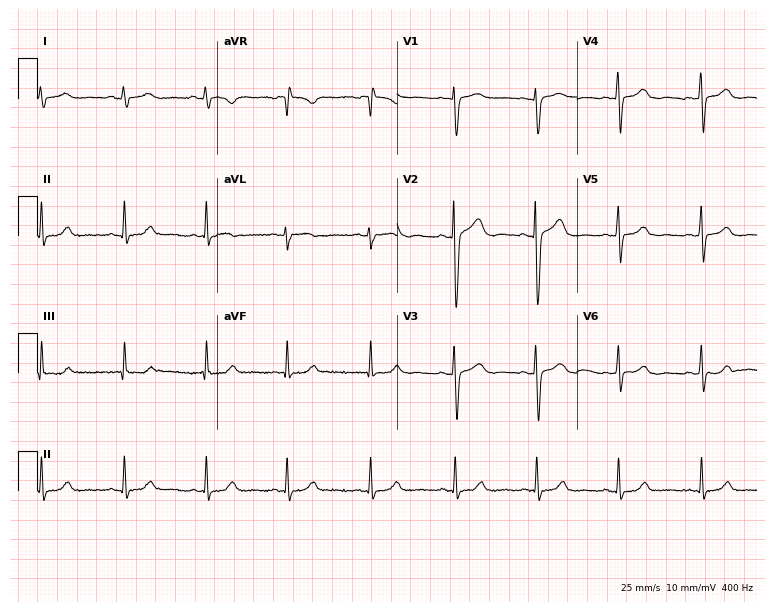
12-lead ECG from a 35-year-old woman. Labelled as a normal ECG.